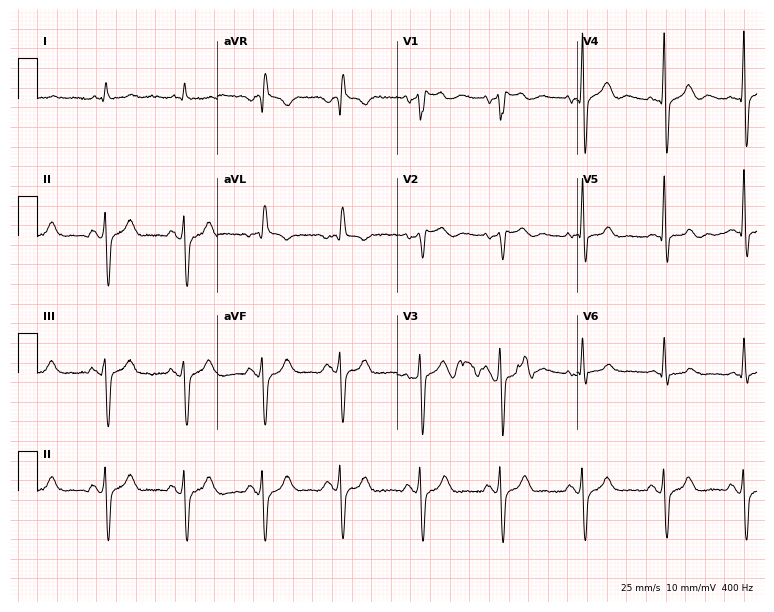
Resting 12-lead electrocardiogram. Patient: a male, 66 years old. None of these six findings is recorded: first-degree AV block, right bundle branch block, left bundle branch block, sinus bradycardia, atrial fibrillation, sinus tachycardia.